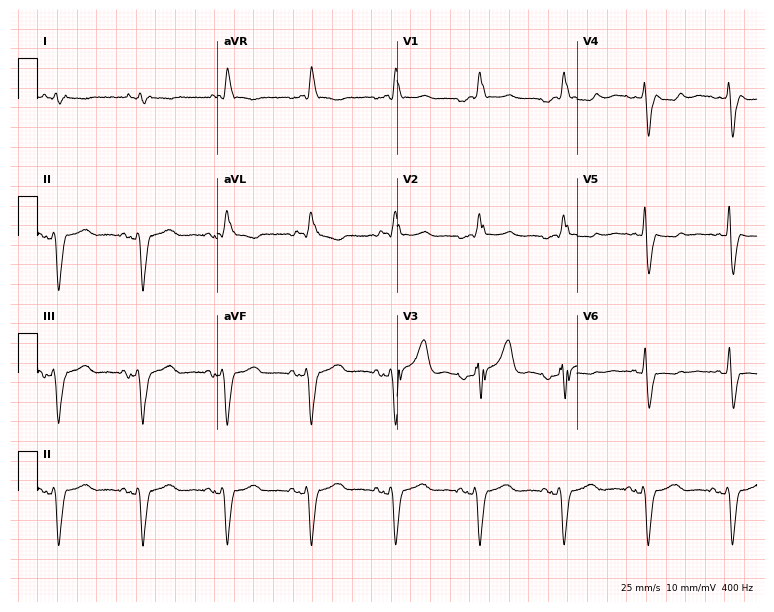
ECG — a male patient, 62 years old. Findings include right bundle branch block.